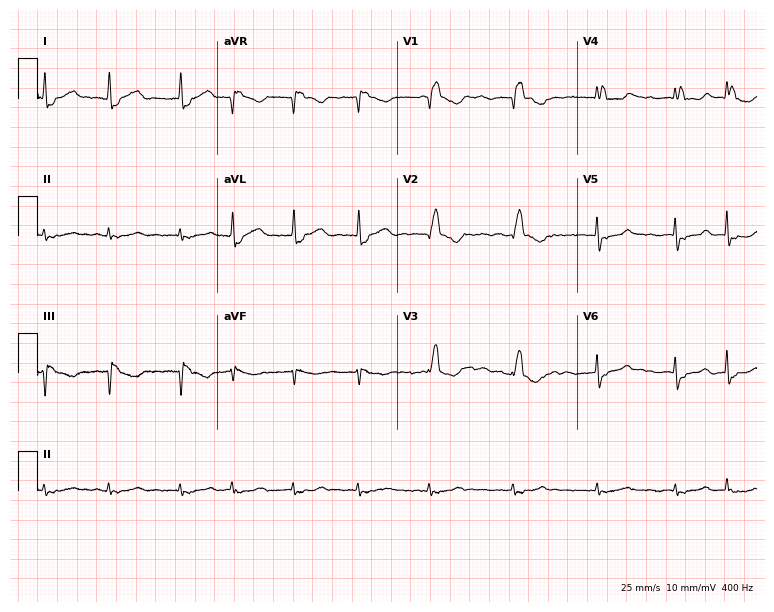
ECG — a male patient, 81 years old. Findings include right bundle branch block (RBBB), atrial fibrillation (AF).